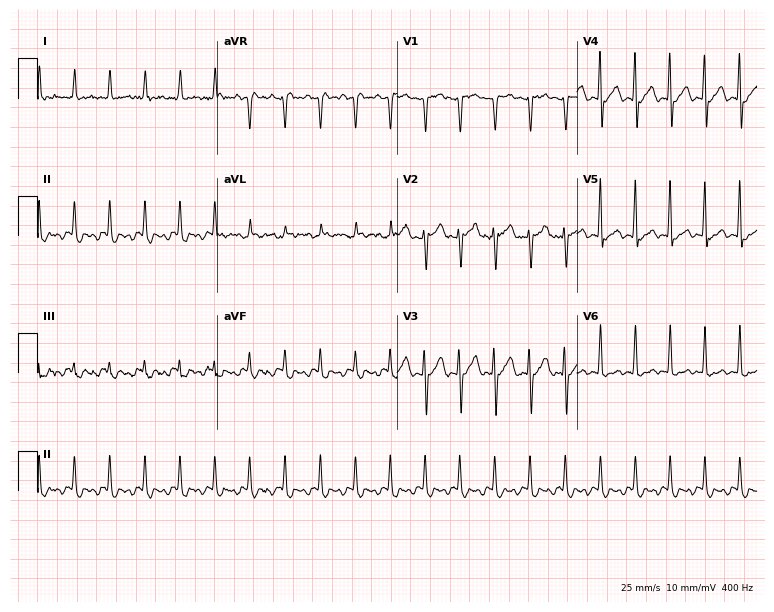
12-lead ECG from a man, 55 years old. Shows sinus tachycardia (a sinus rate of 100 beats per minute or more).